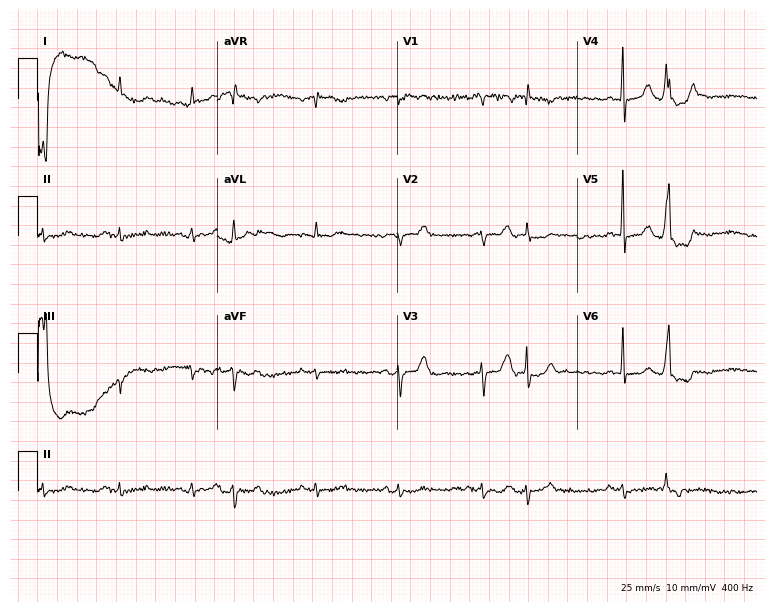
Standard 12-lead ECG recorded from a male, 79 years old (7.3-second recording at 400 Hz). None of these six findings is recorded: first-degree AV block, right bundle branch block (RBBB), left bundle branch block (LBBB), sinus bradycardia, atrial fibrillation (AF), sinus tachycardia. Findings outside these six are not listed.